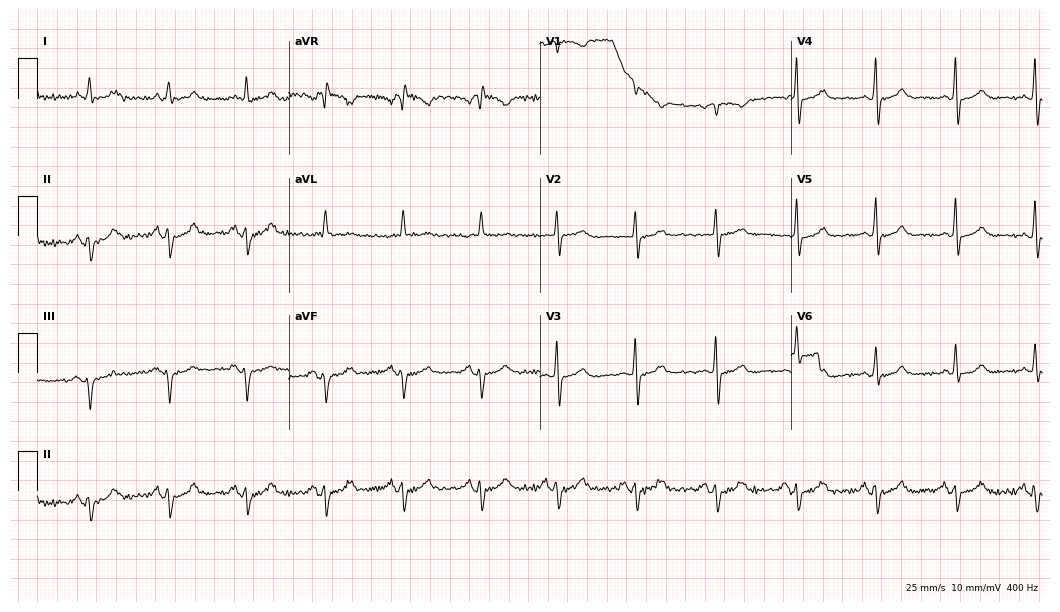
12-lead ECG (10.2-second recording at 400 Hz) from a 58-year-old female. Screened for six findings — first-degree AV block, right bundle branch block, left bundle branch block, sinus bradycardia, atrial fibrillation, sinus tachycardia — none is recorded.